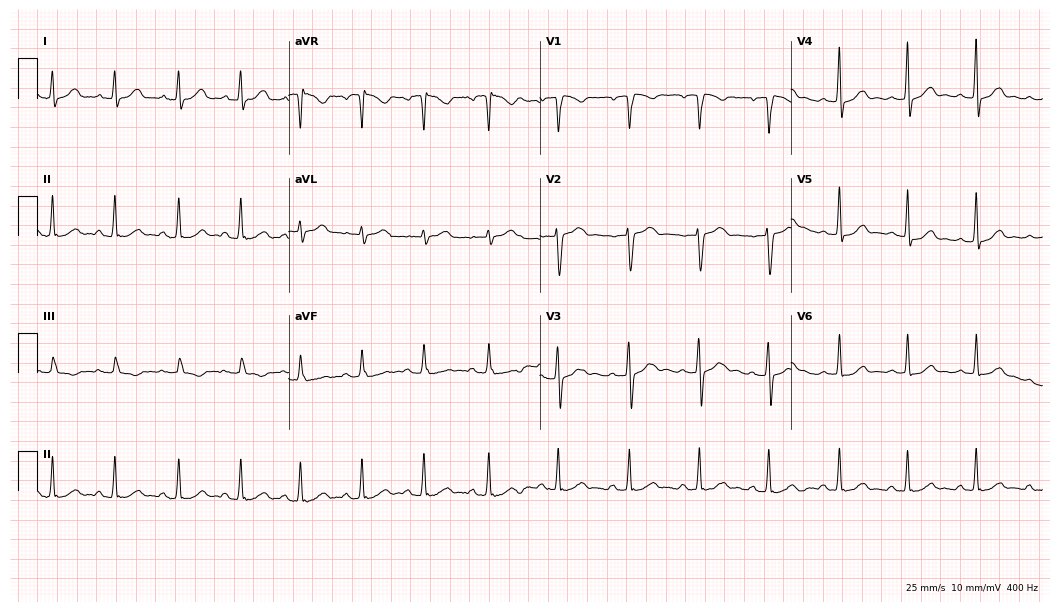
Resting 12-lead electrocardiogram (10.2-second recording at 400 Hz). Patient: a female, 26 years old. Read as a normal ECG.